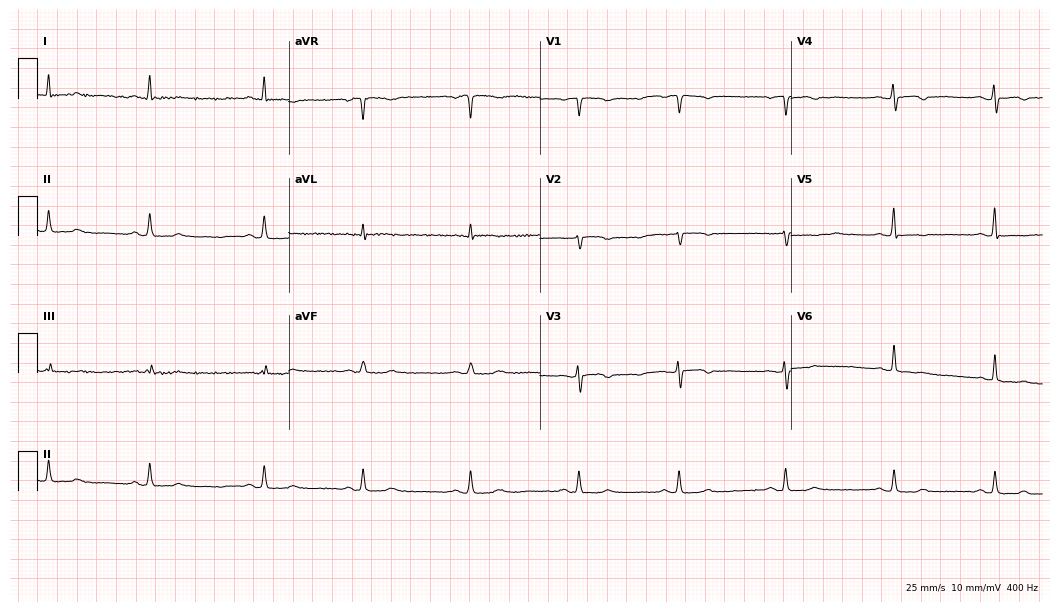
12-lead ECG from a female, 21 years old. Screened for six findings — first-degree AV block, right bundle branch block, left bundle branch block, sinus bradycardia, atrial fibrillation, sinus tachycardia — none is recorded. Only these six findings were labelled.